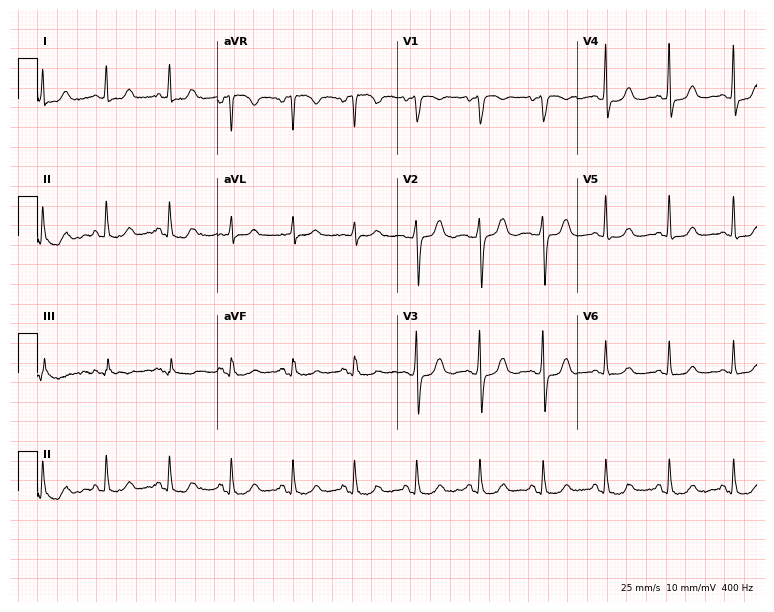
Resting 12-lead electrocardiogram (7.3-second recording at 400 Hz). Patient: a woman, 52 years old. None of these six findings is recorded: first-degree AV block, right bundle branch block, left bundle branch block, sinus bradycardia, atrial fibrillation, sinus tachycardia.